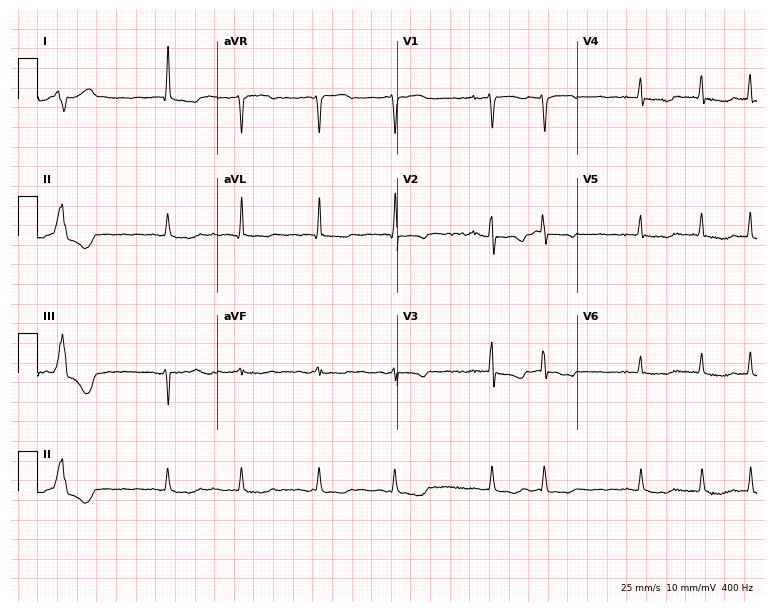
12-lead ECG from a 76-year-old woman. Shows atrial fibrillation (AF).